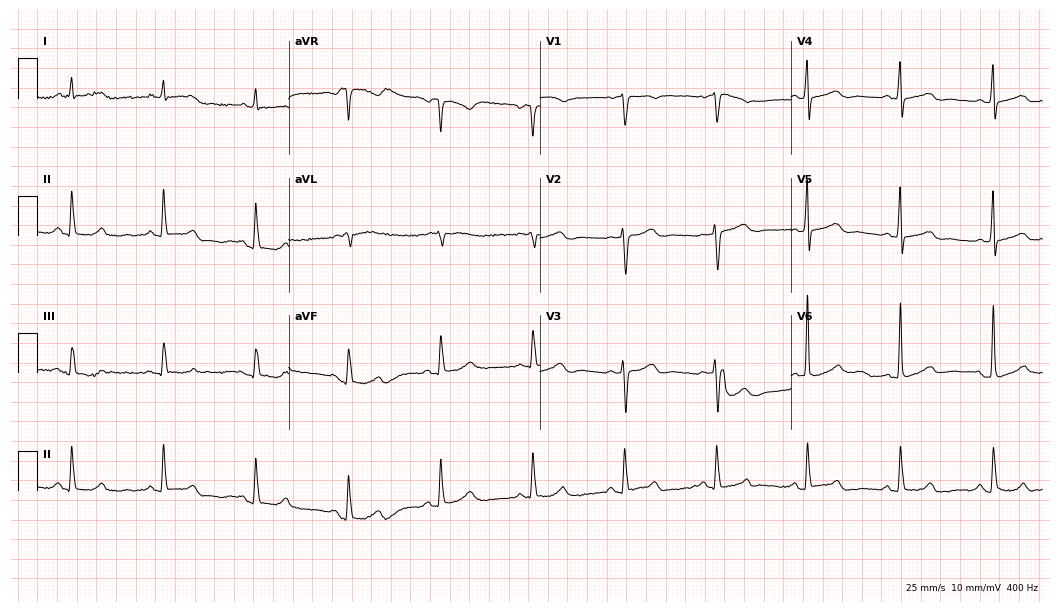
12-lead ECG from a woman, 73 years old. Screened for six findings — first-degree AV block, right bundle branch block (RBBB), left bundle branch block (LBBB), sinus bradycardia, atrial fibrillation (AF), sinus tachycardia — none is recorded.